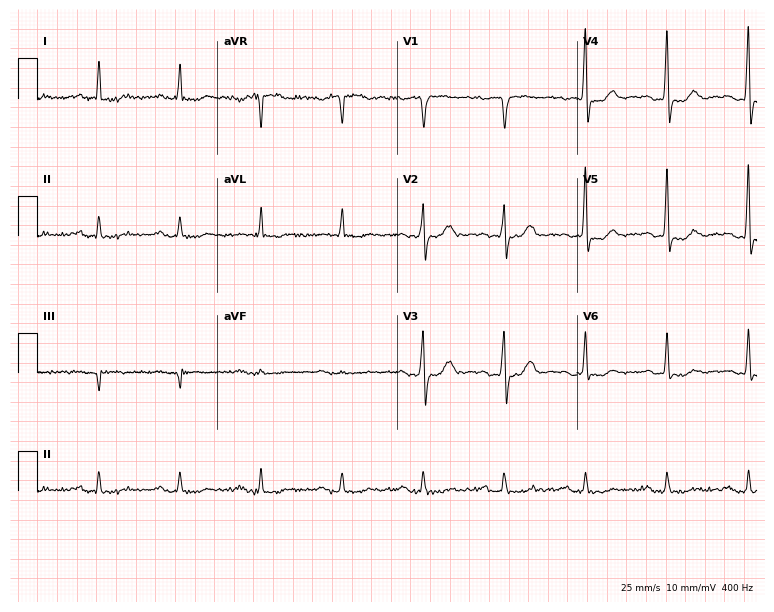
12-lead ECG from a male, 73 years old. No first-degree AV block, right bundle branch block, left bundle branch block, sinus bradycardia, atrial fibrillation or sinus tachycardia recorded for this tracing. Findings outside these six are not listed.